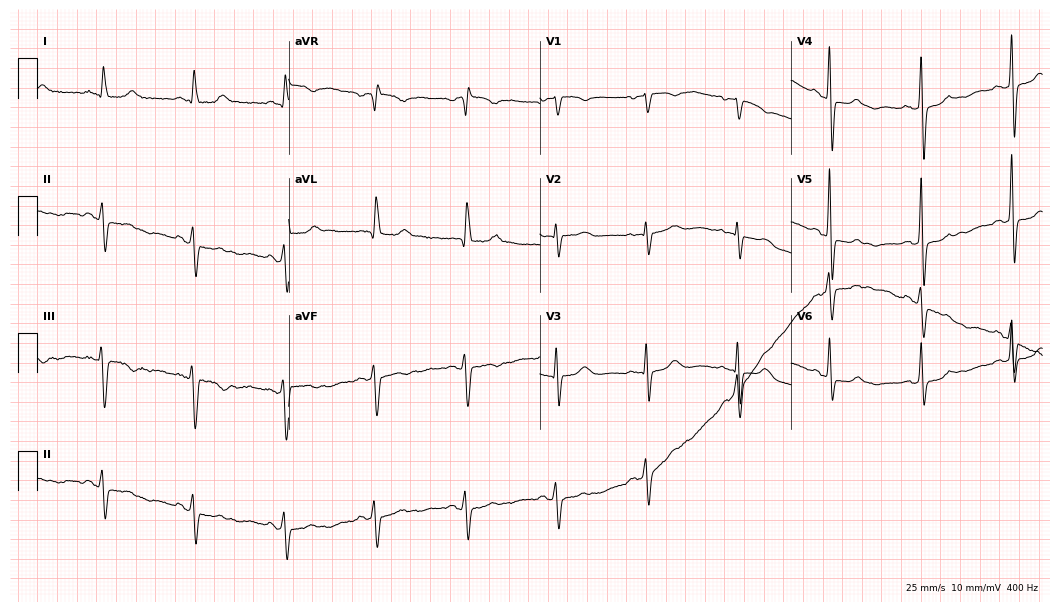
Electrocardiogram, a female, 72 years old. Of the six screened findings (first-degree AV block, right bundle branch block, left bundle branch block, sinus bradycardia, atrial fibrillation, sinus tachycardia), none is recorded.